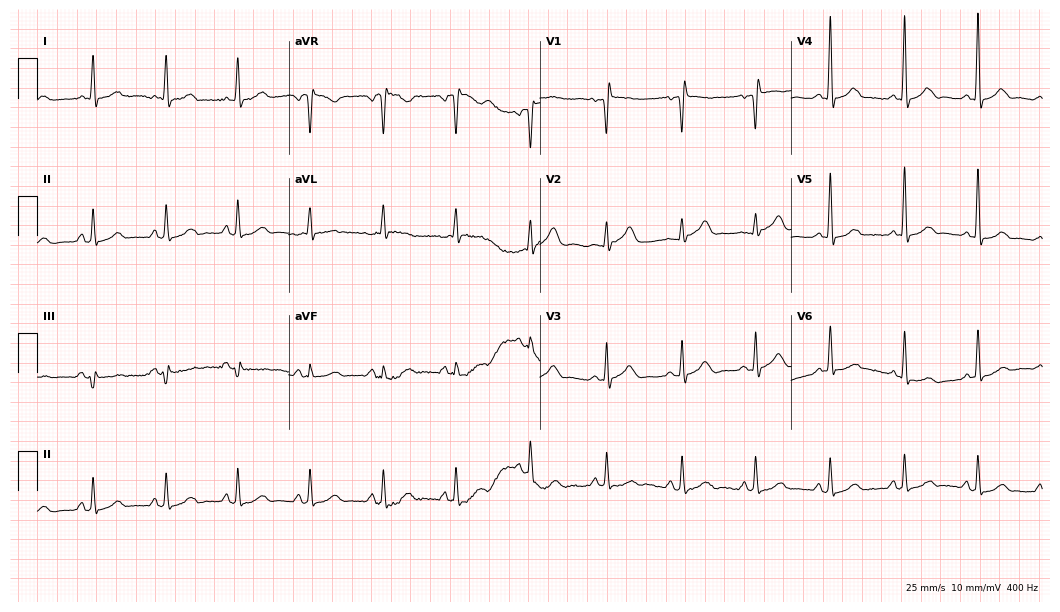
Electrocardiogram, a 72-year-old woman. Of the six screened findings (first-degree AV block, right bundle branch block, left bundle branch block, sinus bradycardia, atrial fibrillation, sinus tachycardia), none is recorded. Findings outside these six are not listed.